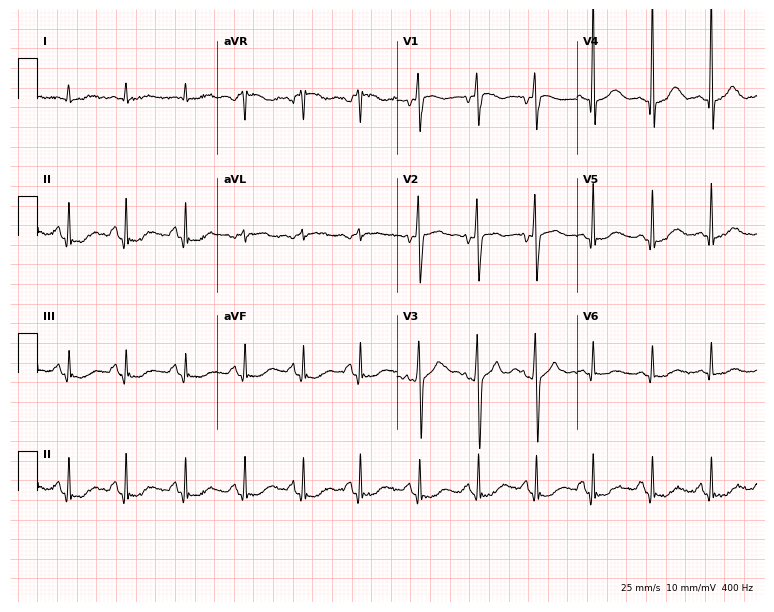
Resting 12-lead electrocardiogram. Patient: a male, 80 years old. The tracing shows sinus tachycardia (a sinus rate of 100 beats per minute or more).